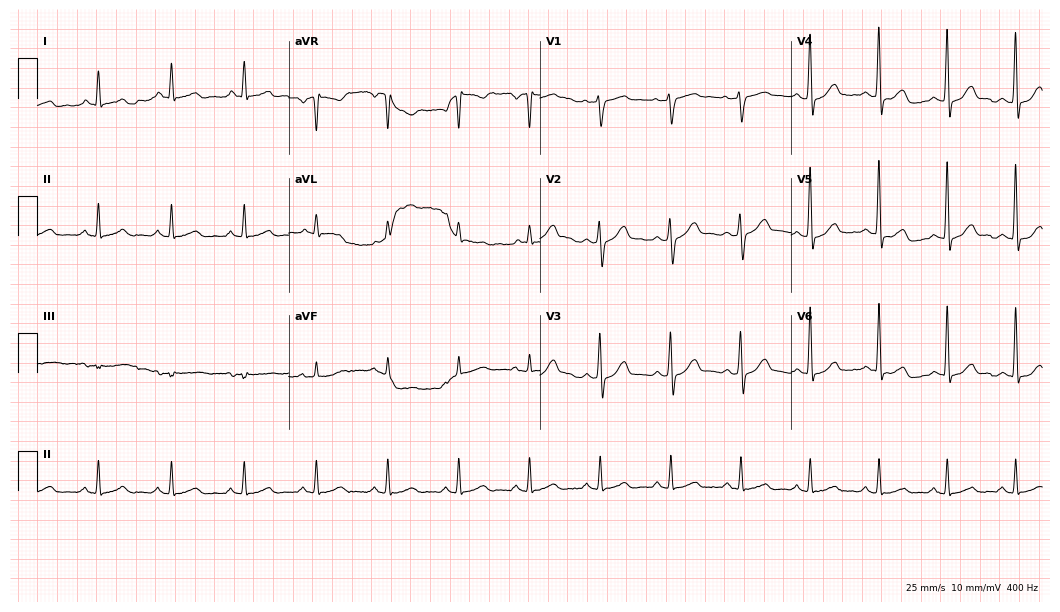
ECG (10.2-second recording at 400 Hz) — a male, 66 years old. Labelled as a normal ECG.